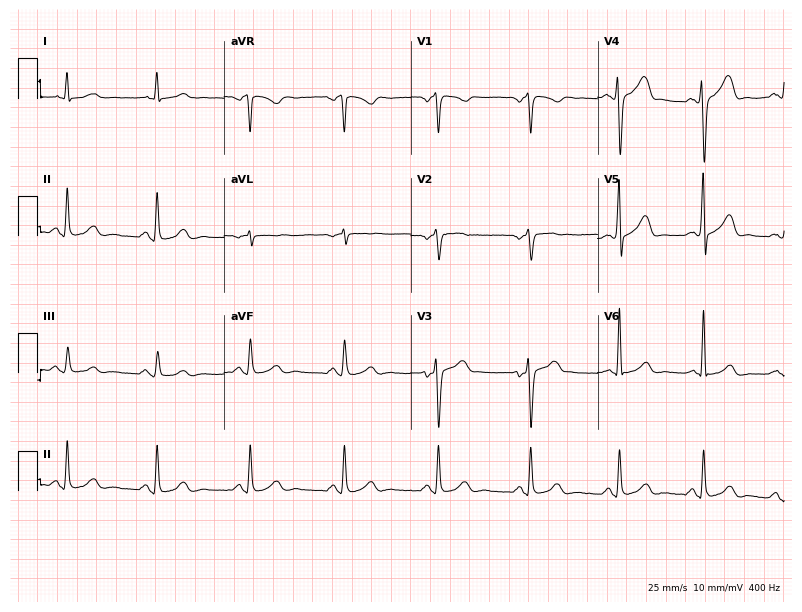
12-lead ECG from a 43-year-old male patient (7.6-second recording at 400 Hz). Recorded interpretation: within normal limits.